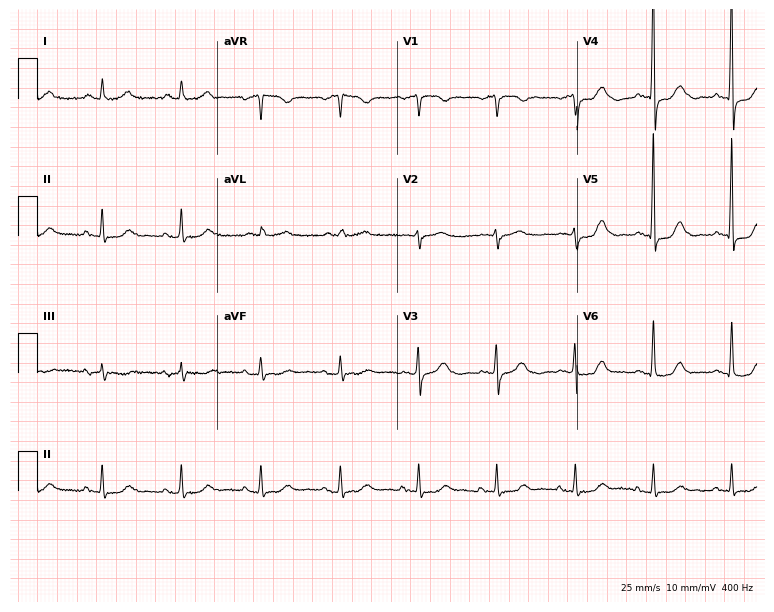
Resting 12-lead electrocardiogram. Patient: a female, 75 years old. None of these six findings is recorded: first-degree AV block, right bundle branch block, left bundle branch block, sinus bradycardia, atrial fibrillation, sinus tachycardia.